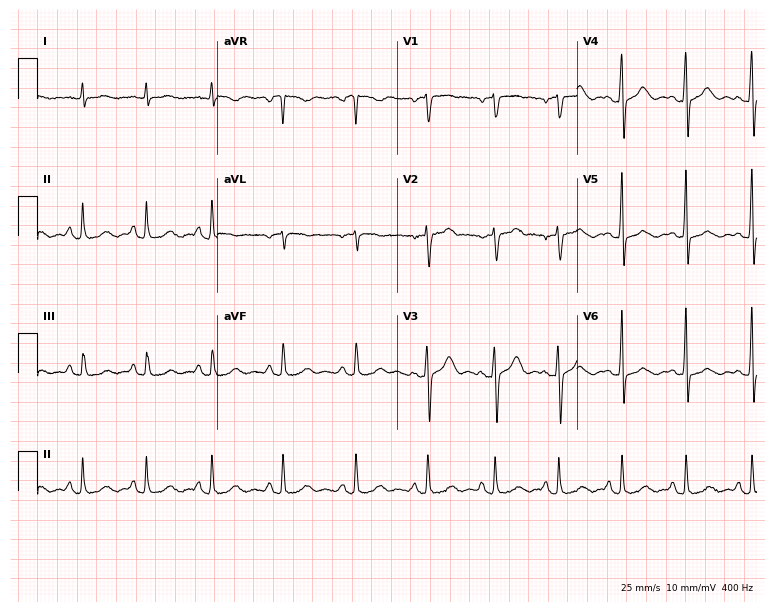
Standard 12-lead ECG recorded from a man, 49 years old (7.3-second recording at 400 Hz). Read as a normal ECG.